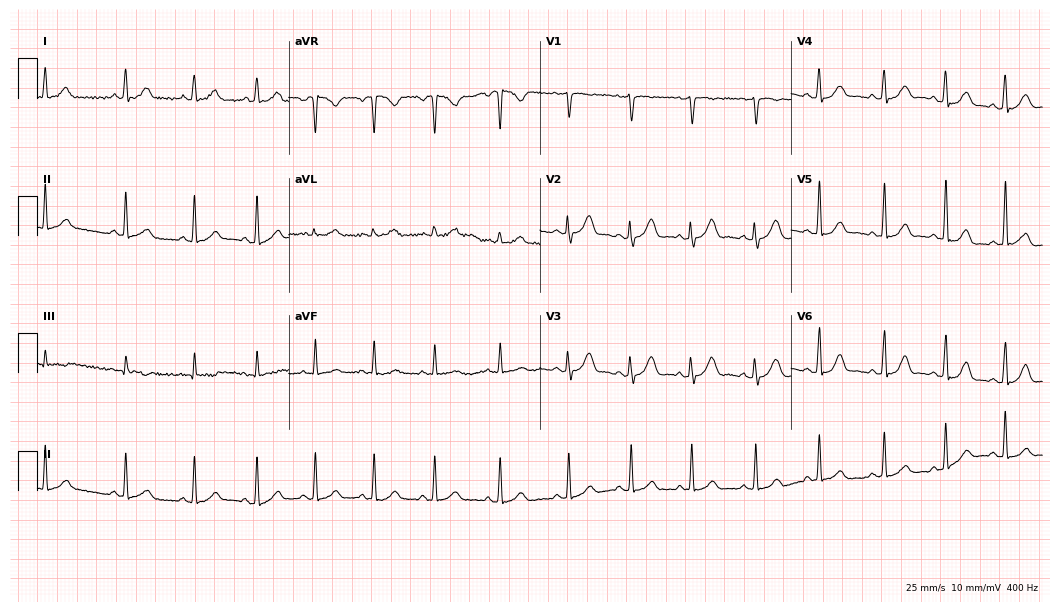
Resting 12-lead electrocardiogram (10.2-second recording at 400 Hz). Patient: a 28-year-old female. None of these six findings is recorded: first-degree AV block, right bundle branch block (RBBB), left bundle branch block (LBBB), sinus bradycardia, atrial fibrillation (AF), sinus tachycardia.